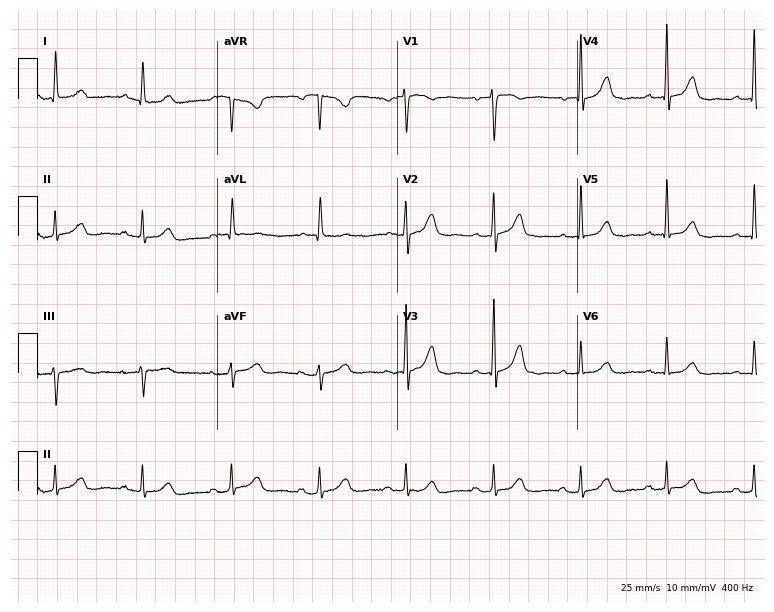
Resting 12-lead electrocardiogram (7.3-second recording at 400 Hz). Patient: a female, 85 years old. None of these six findings is recorded: first-degree AV block, right bundle branch block (RBBB), left bundle branch block (LBBB), sinus bradycardia, atrial fibrillation (AF), sinus tachycardia. Only these six findings were labelled.